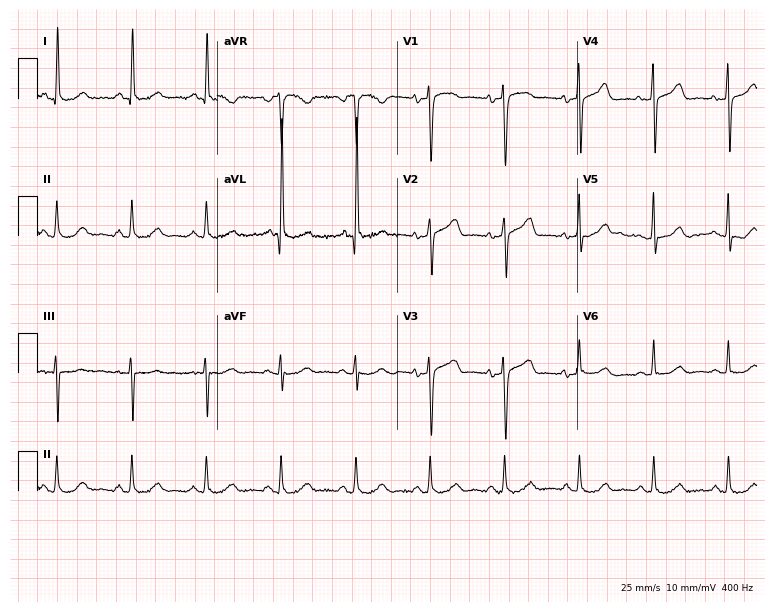
ECG (7.3-second recording at 400 Hz) — a woman, 57 years old. Labelled as a normal ECG.